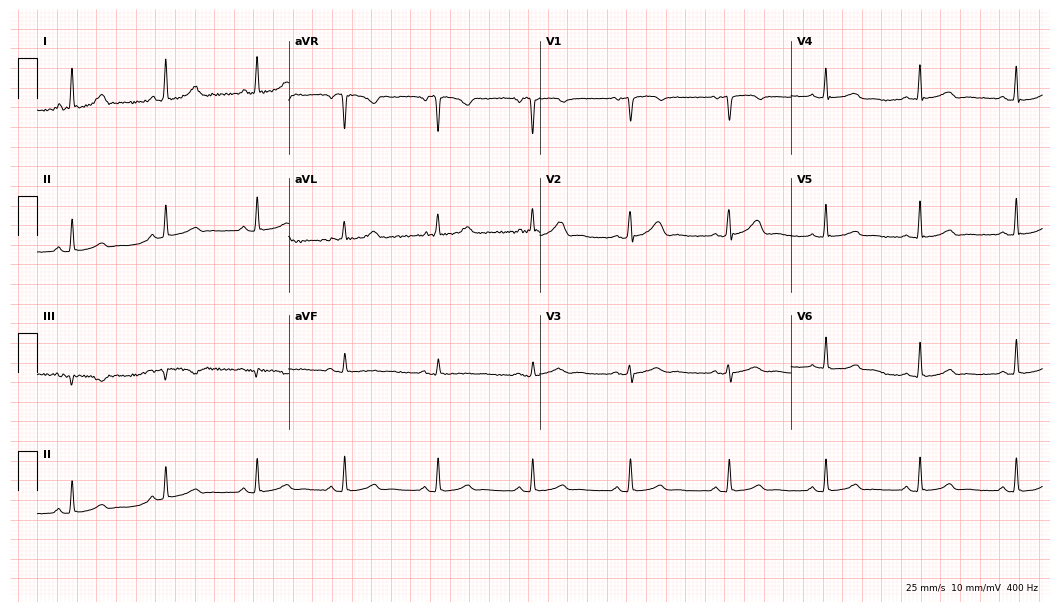
Electrocardiogram (10.2-second recording at 400 Hz), a female patient, 54 years old. Of the six screened findings (first-degree AV block, right bundle branch block, left bundle branch block, sinus bradycardia, atrial fibrillation, sinus tachycardia), none is recorded.